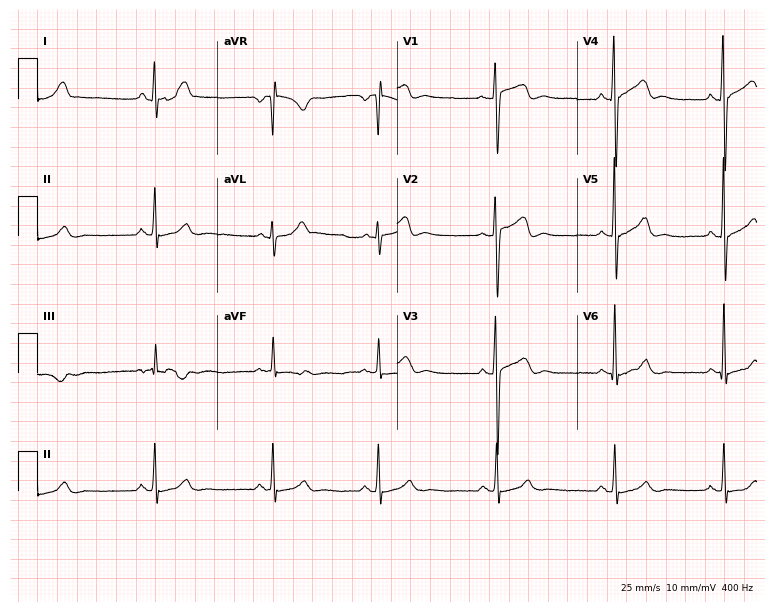
Standard 12-lead ECG recorded from a male, 26 years old. Read as a normal ECG.